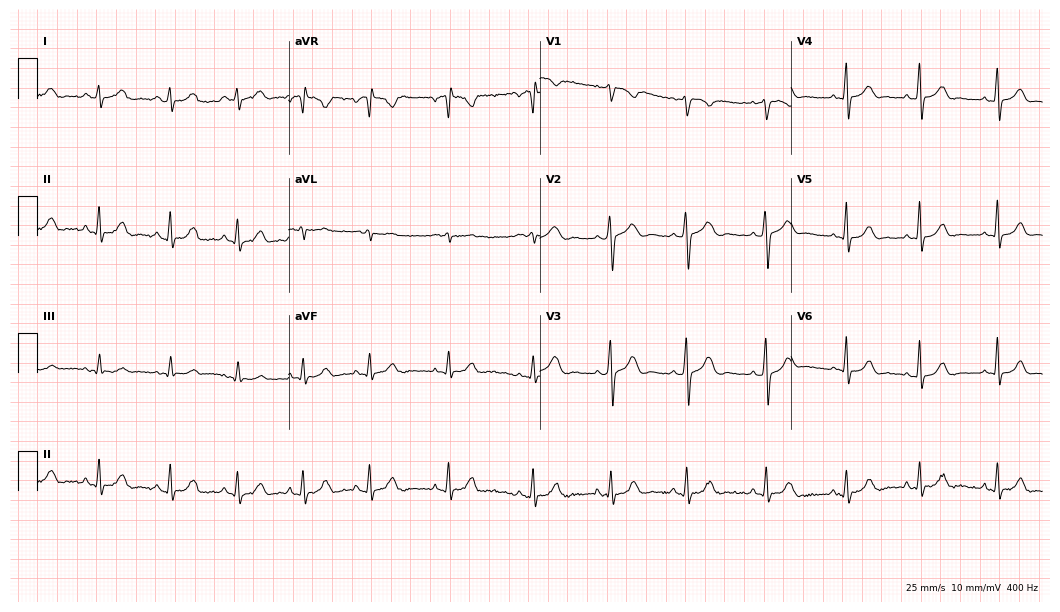
Resting 12-lead electrocardiogram. Patient: a female, 20 years old. Read as a normal ECG.